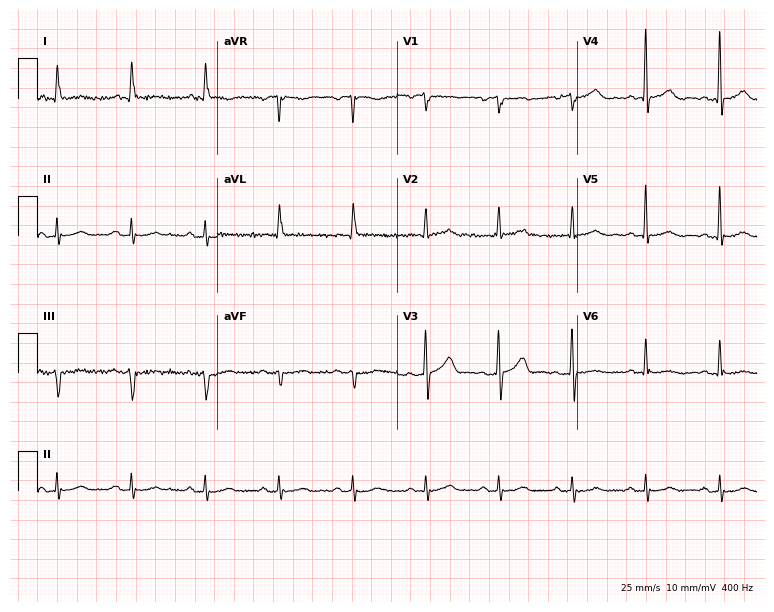
Standard 12-lead ECG recorded from a female patient, 76 years old (7.3-second recording at 400 Hz). Read as a normal ECG.